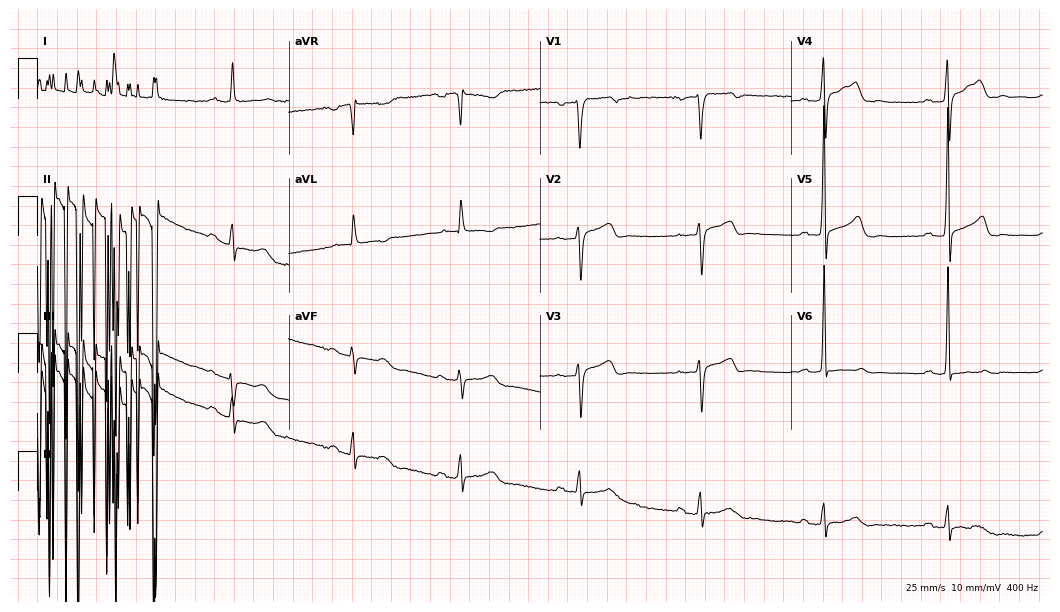
Standard 12-lead ECG recorded from a 61-year-old man (10.2-second recording at 400 Hz). None of these six findings is recorded: first-degree AV block, right bundle branch block, left bundle branch block, sinus bradycardia, atrial fibrillation, sinus tachycardia. Findings outside these six are not listed.